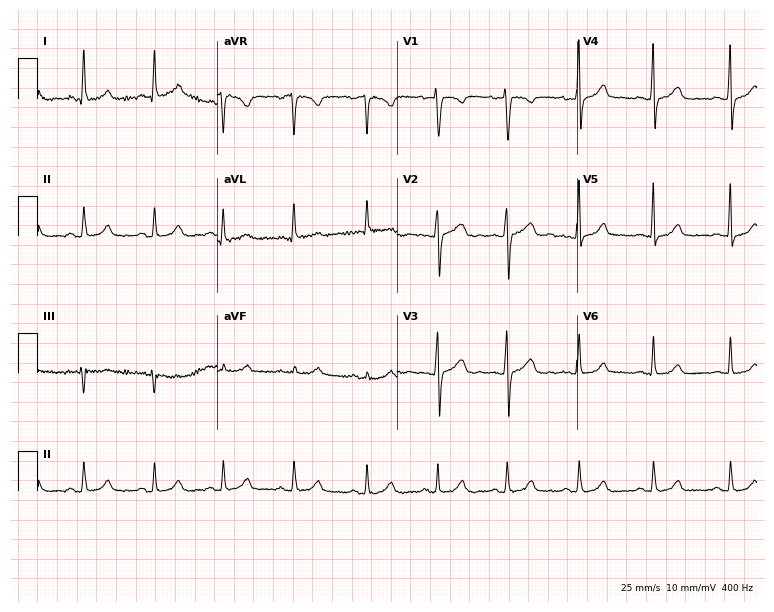
ECG — a 32-year-old female patient. Screened for six findings — first-degree AV block, right bundle branch block, left bundle branch block, sinus bradycardia, atrial fibrillation, sinus tachycardia — none is recorded. Findings outside these six are not listed.